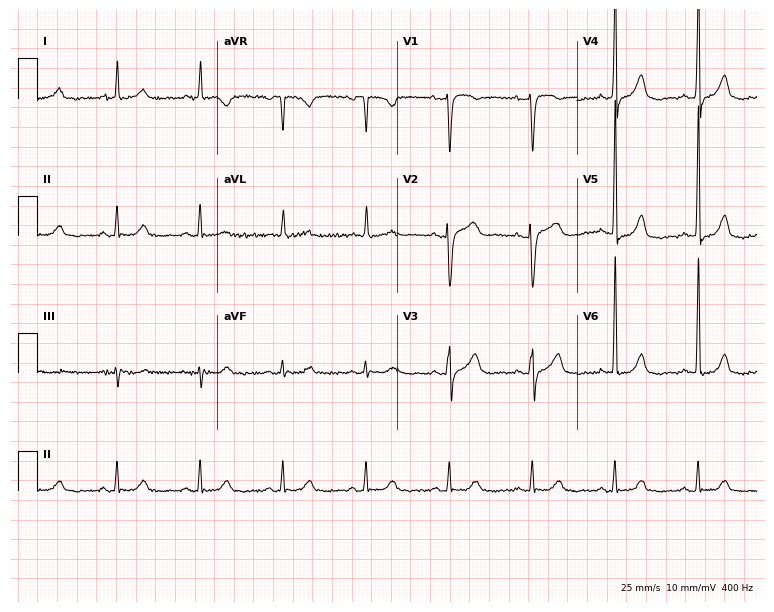
12-lead ECG from a 66-year-old woman. Screened for six findings — first-degree AV block, right bundle branch block (RBBB), left bundle branch block (LBBB), sinus bradycardia, atrial fibrillation (AF), sinus tachycardia — none is recorded. Other findings, if any, are not listed.